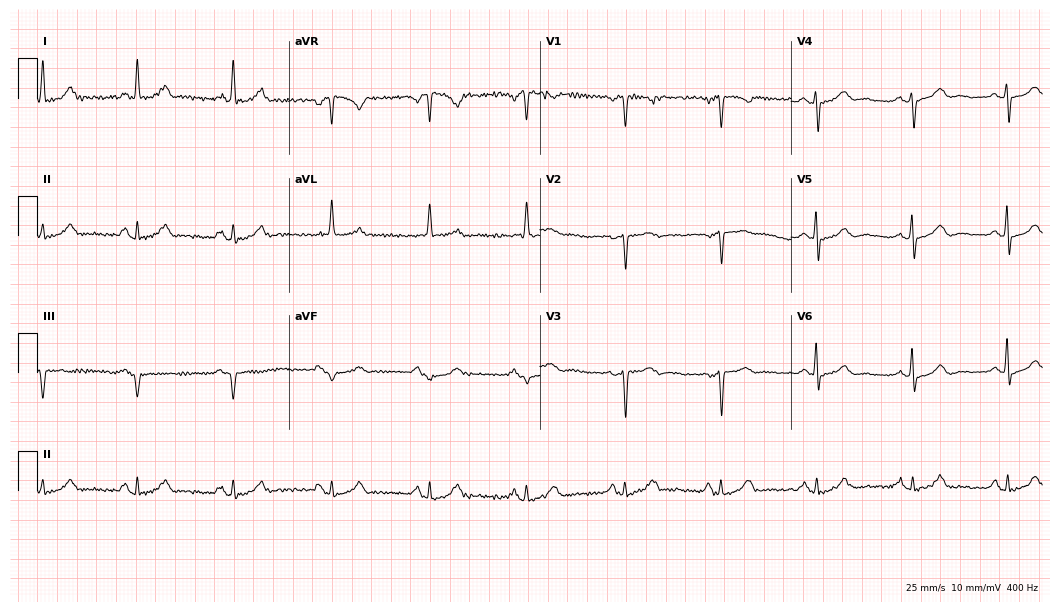
Electrocardiogram, a 66-year-old female. Of the six screened findings (first-degree AV block, right bundle branch block (RBBB), left bundle branch block (LBBB), sinus bradycardia, atrial fibrillation (AF), sinus tachycardia), none is recorded.